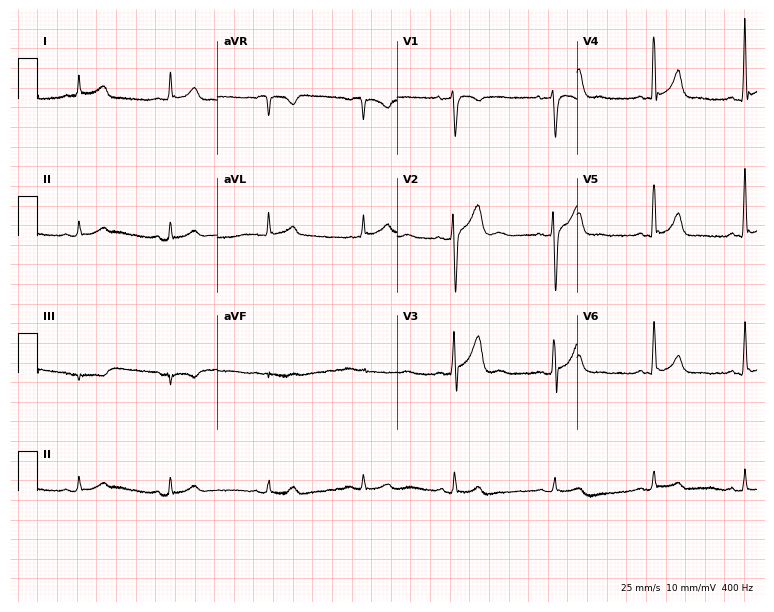
Electrocardiogram, a man, 41 years old. Of the six screened findings (first-degree AV block, right bundle branch block (RBBB), left bundle branch block (LBBB), sinus bradycardia, atrial fibrillation (AF), sinus tachycardia), none is recorded. Other findings, if any, are not listed.